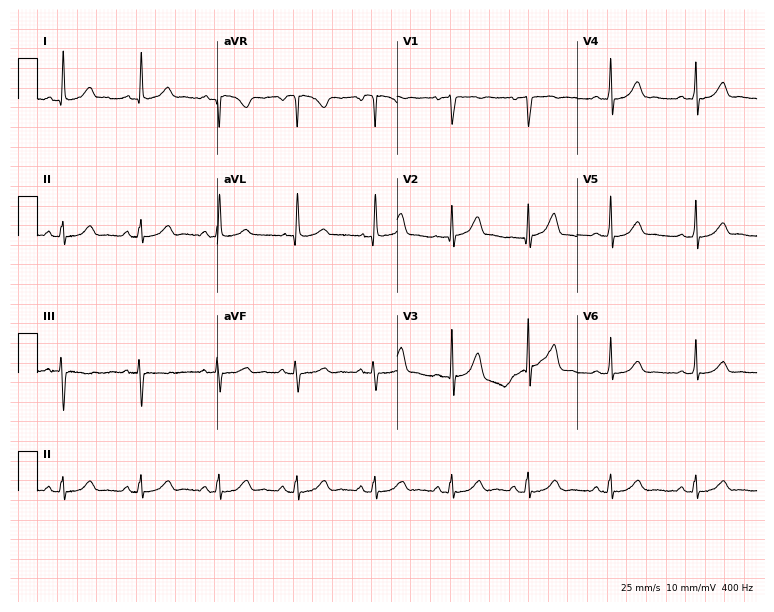
Standard 12-lead ECG recorded from a 62-year-old woman (7.3-second recording at 400 Hz). Read as a normal ECG.